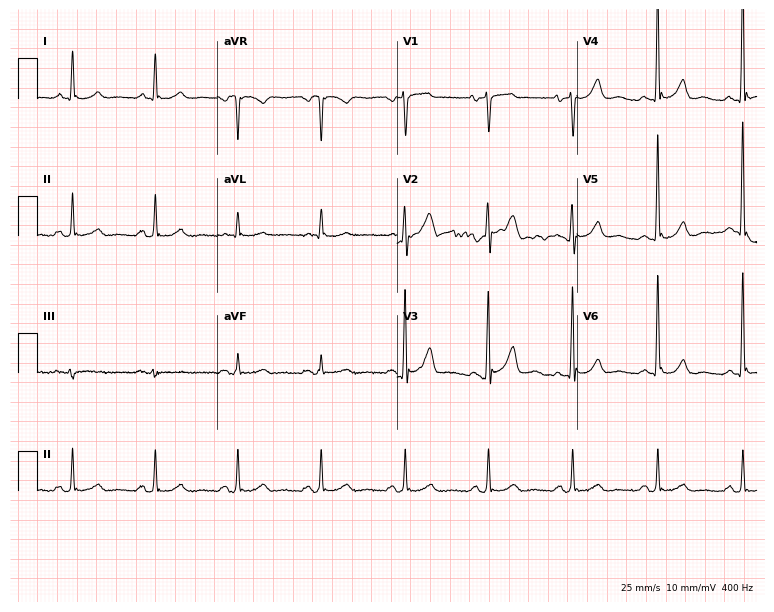
12-lead ECG from a 53-year-old male. Labelled as a normal ECG.